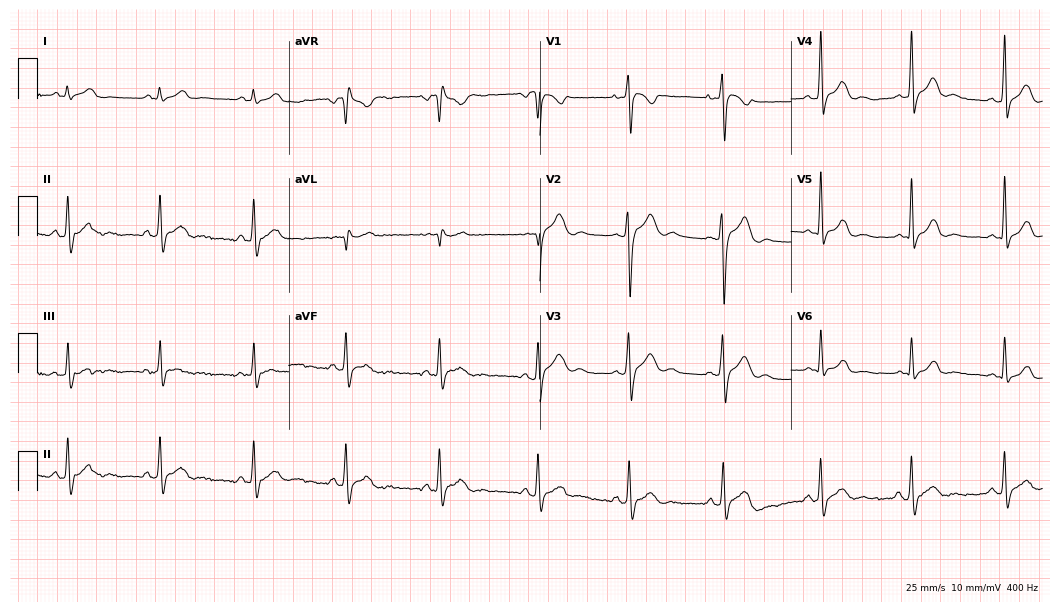
12-lead ECG (10.2-second recording at 400 Hz) from a 24-year-old male. Labelled as a normal ECG.